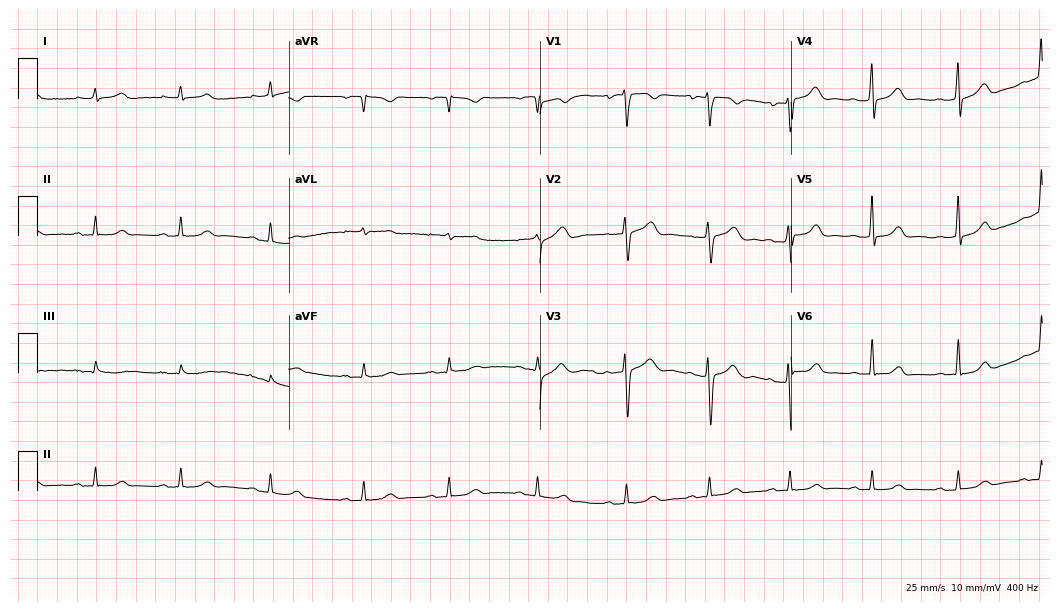
Standard 12-lead ECG recorded from a woman, 33 years old. None of these six findings is recorded: first-degree AV block, right bundle branch block, left bundle branch block, sinus bradycardia, atrial fibrillation, sinus tachycardia. Findings outside these six are not listed.